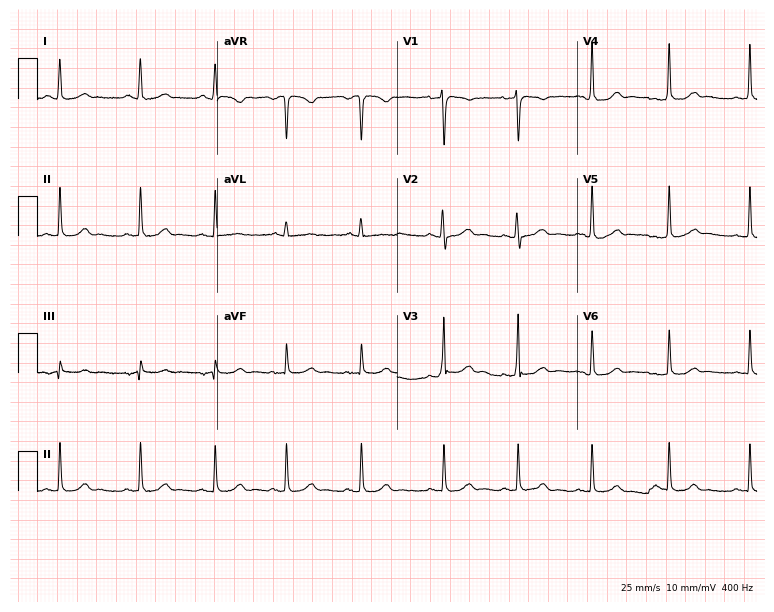
ECG (7.3-second recording at 400 Hz) — a female patient, 18 years old. Labelled as a normal ECG.